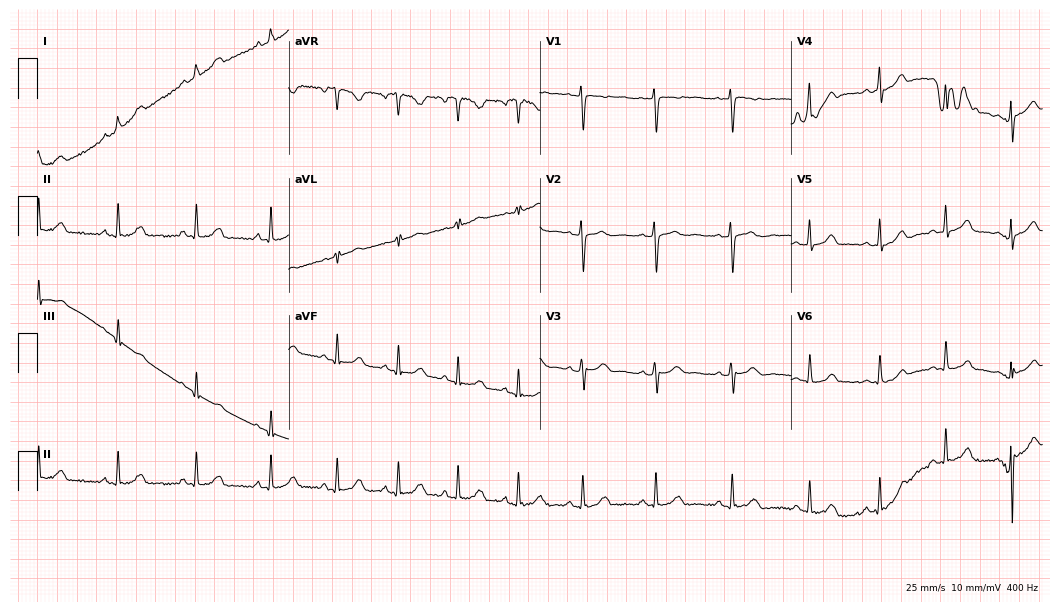
12-lead ECG from a female patient, 18 years old (10.2-second recording at 400 Hz). Recorded interpretation: within normal limits.